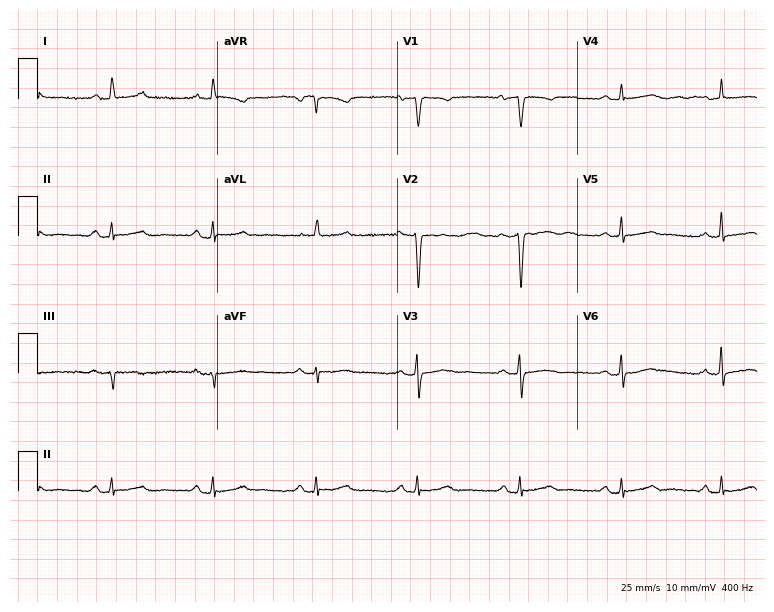
Electrocardiogram (7.3-second recording at 400 Hz), a 61-year-old woman. Of the six screened findings (first-degree AV block, right bundle branch block, left bundle branch block, sinus bradycardia, atrial fibrillation, sinus tachycardia), none is recorded.